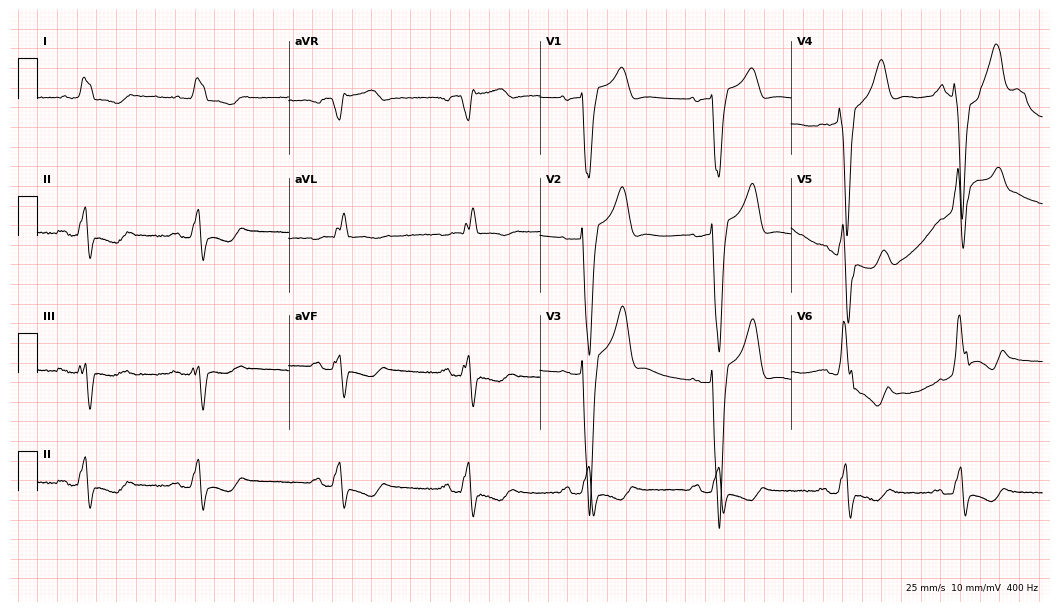
ECG (10.2-second recording at 400 Hz) — an 81-year-old male. Findings include left bundle branch block (LBBB), sinus bradycardia (a sinus rate of 50 beats per minute or less).